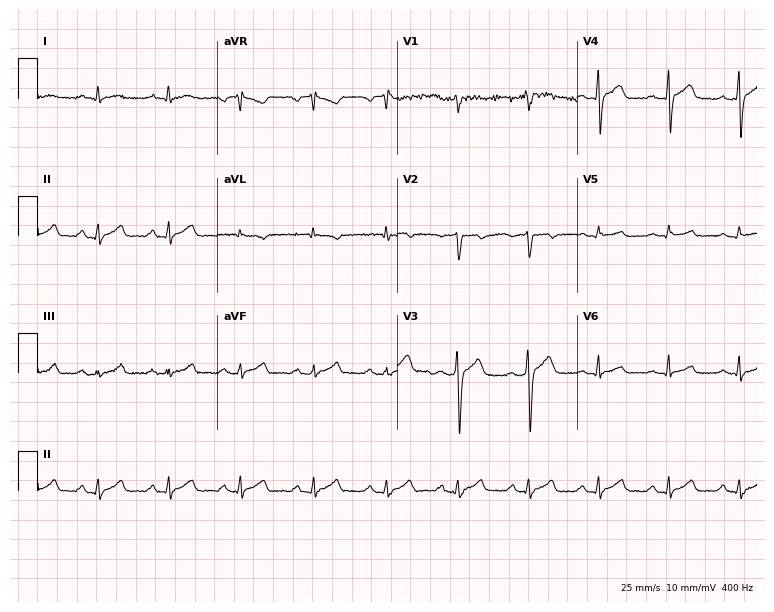
Standard 12-lead ECG recorded from a man, 38 years old (7.3-second recording at 400 Hz). Read as a normal ECG.